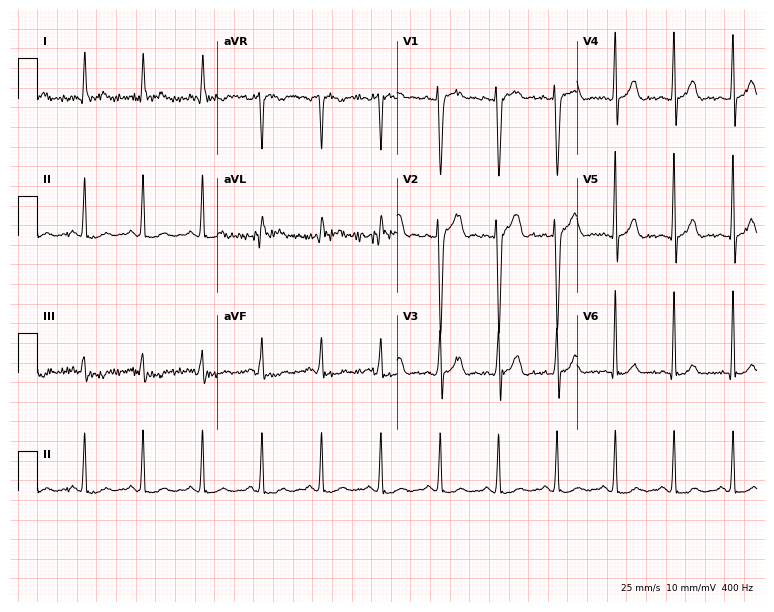
Resting 12-lead electrocardiogram. Patient: a 56-year-old male. Read as a normal ECG.